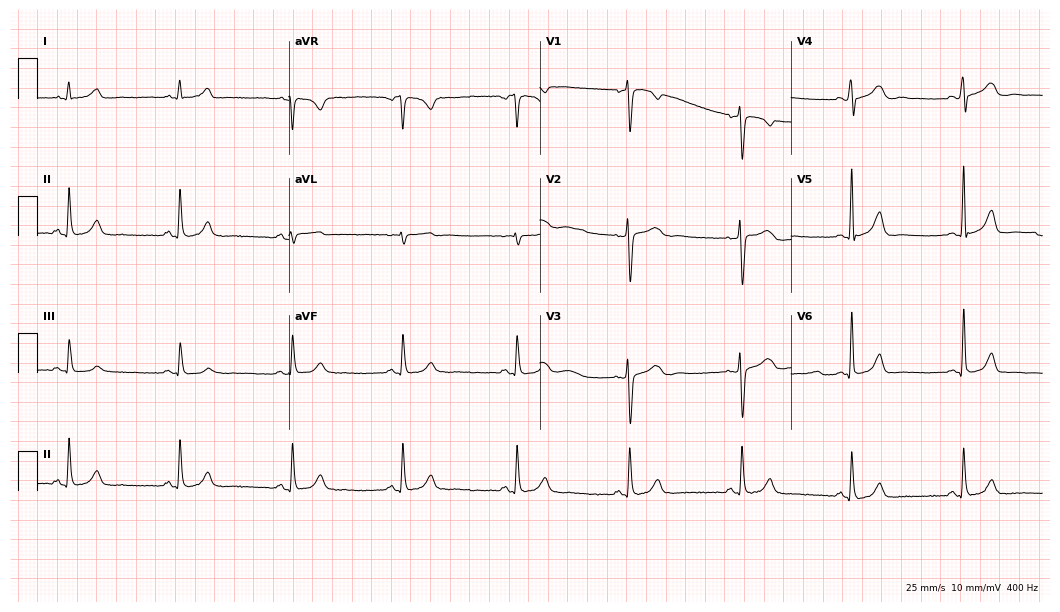
Electrocardiogram (10.2-second recording at 400 Hz), a woman, 40 years old. Overall reading on record: normal ECG.